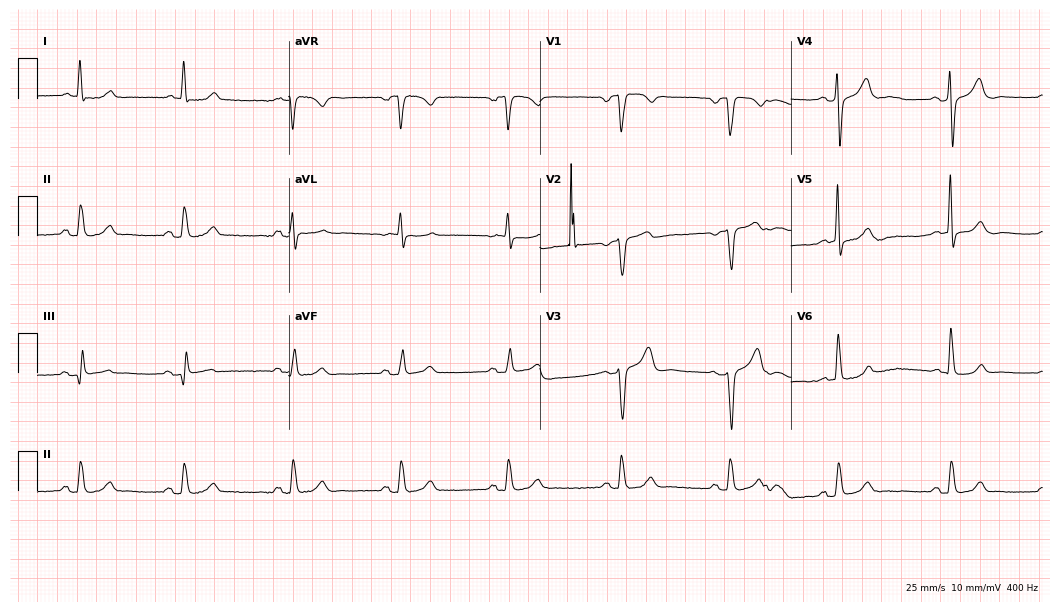
12-lead ECG from a male, 79 years old. Screened for six findings — first-degree AV block, right bundle branch block, left bundle branch block, sinus bradycardia, atrial fibrillation, sinus tachycardia — none is recorded. Only these six findings were labelled.